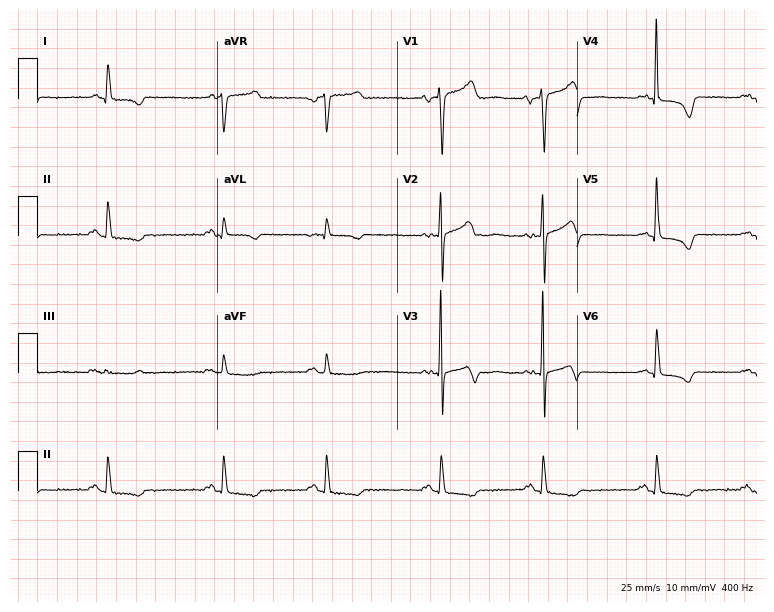
Electrocardiogram, an 83-year-old man. Of the six screened findings (first-degree AV block, right bundle branch block (RBBB), left bundle branch block (LBBB), sinus bradycardia, atrial fibrillation (AF), sinus tachycardia), none is recorded.